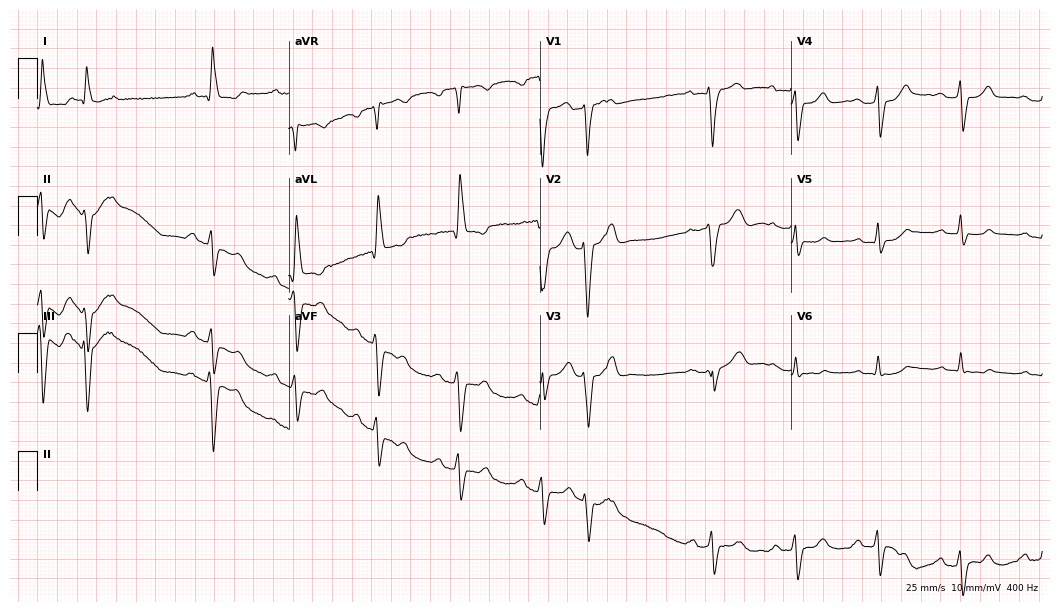
Standard 12-lead ECG recorded from a 58-year-old female. None of these six findings is recorded: first-degree AV block, right bundle branch block (RBBB), left bundle branch block (LBBB), sinus bradycardia, atrial fibrillation (AF), sinus tachycardia.